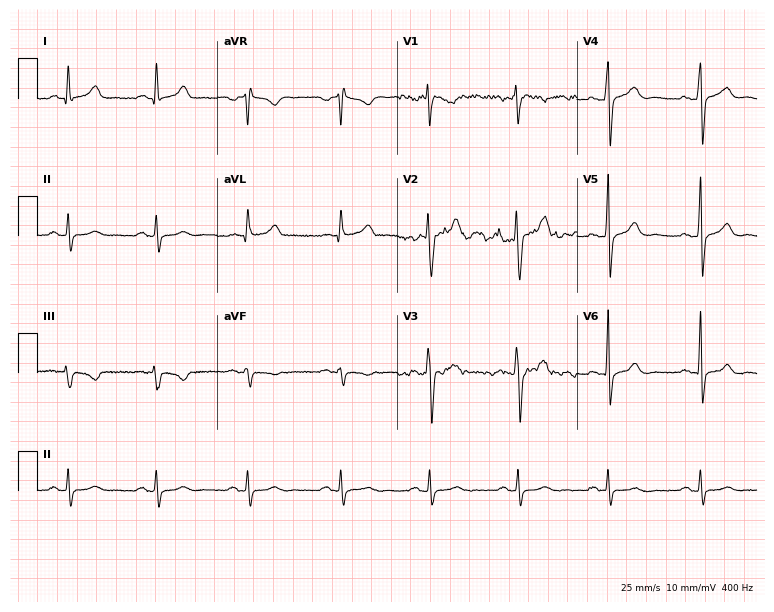
Electrocardiogram (7.3-second recording at 400 Hz), a man, 51 years old. Of the six screened findings (first-degree AV block, right bundle branch block, left bundle branch block, sinus bradycardia, atrial fibrillation, sinus tachycardia), none is recorded.